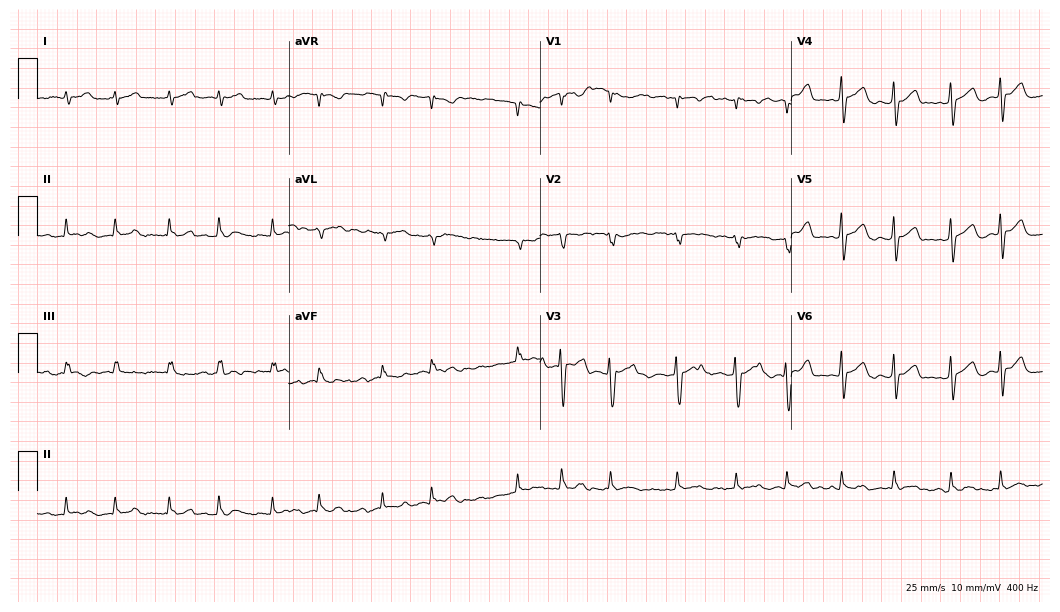
Electrocardiogram, a man, 83 years old. Interpretation includes atrial fibrillation (AF).